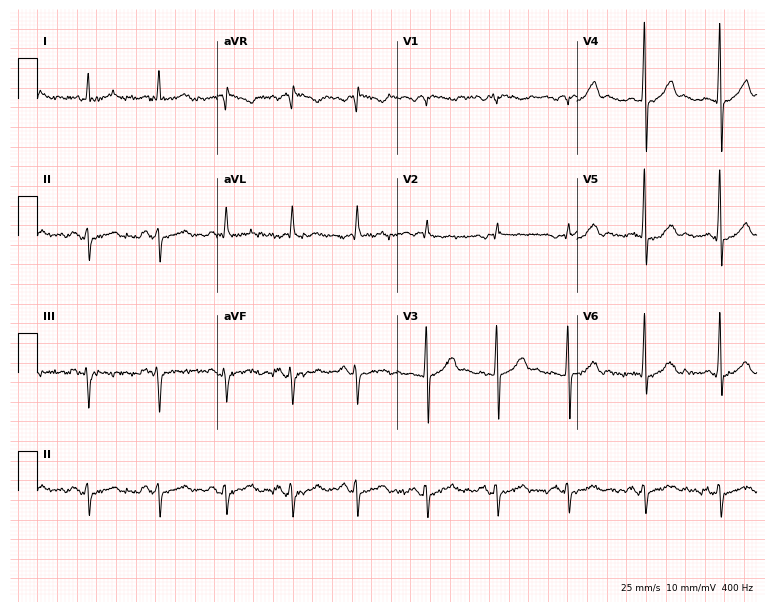
Standard 12-lead ECG recorded from a man, 45 years old (7.3-second recording at 400 Hz). None of these six findings is recorded: first-degree AV block, right bundle branch block, left bundle branch block, sinus bradycardia, atrial fibrillation, sinus tachycardia. Only these six findings were labelled.